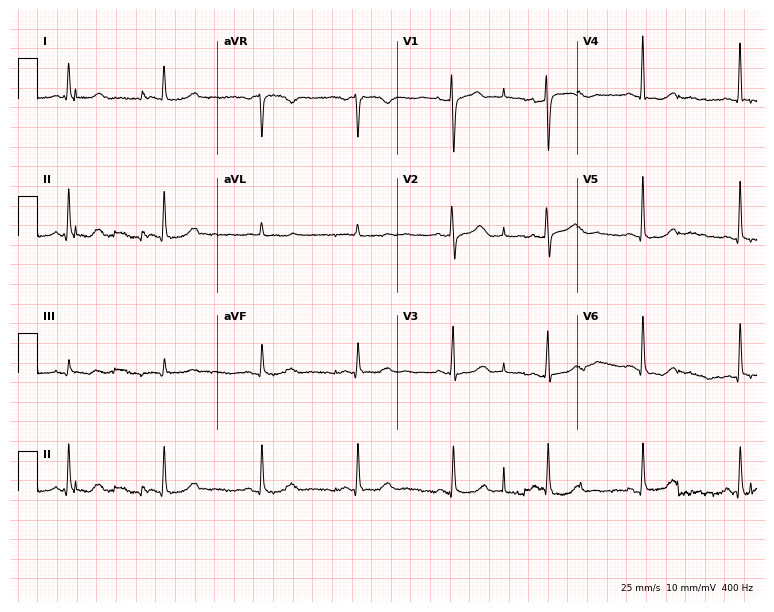
12-lead ECG from a 66-year-old female patient. Recorded interpretation: within normal limits.